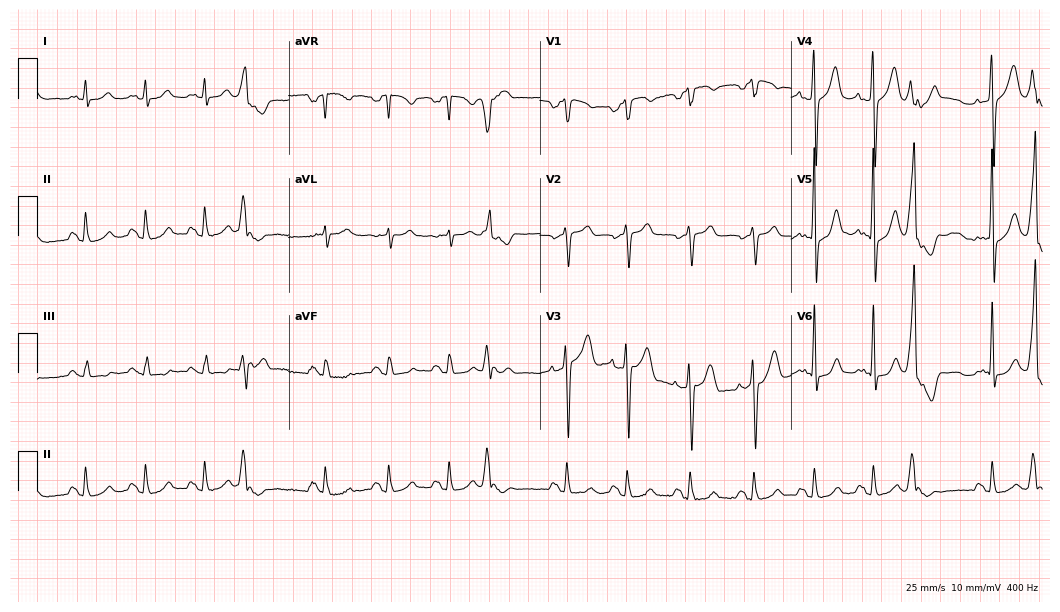
12-lead ECG from a man, 75 years old (10.2-second recording at 400 Hz). No first-degree AV block, right bundle branch block, left bundle branch block, sinus bradycardia, atrial fibrillation or sinus tachycardia recorded for this tracing.